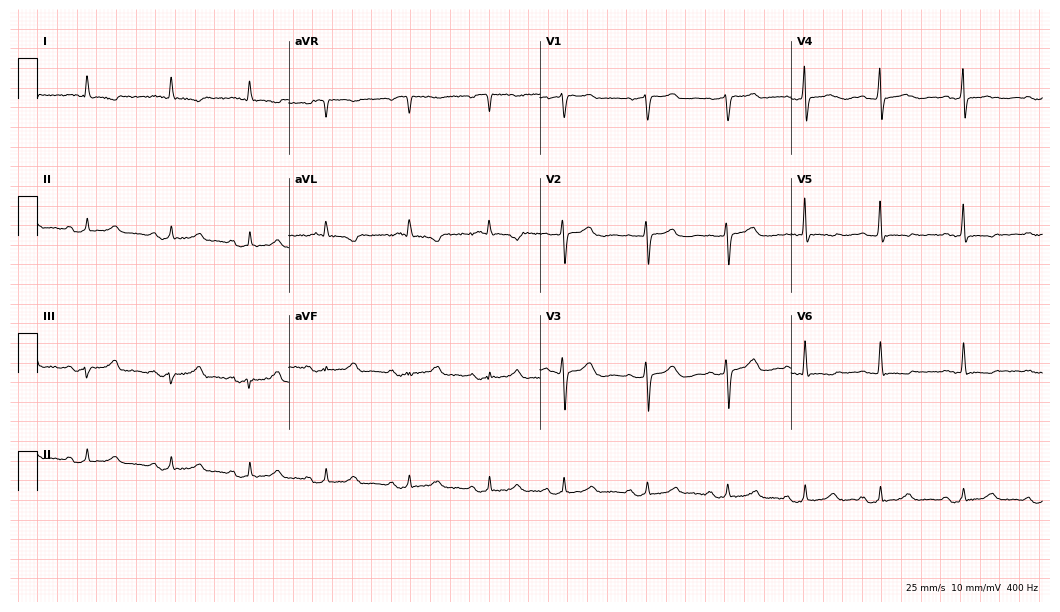
12-lead ECG (10.2-second recording at 400 Hz) from a female, 67 years old. Screened for six findings — first-degree AV block, right bundle branch block, left bundle branch block, sinus bradycardia, atrial fibrillation, sinus tachycardia — none is recorded.